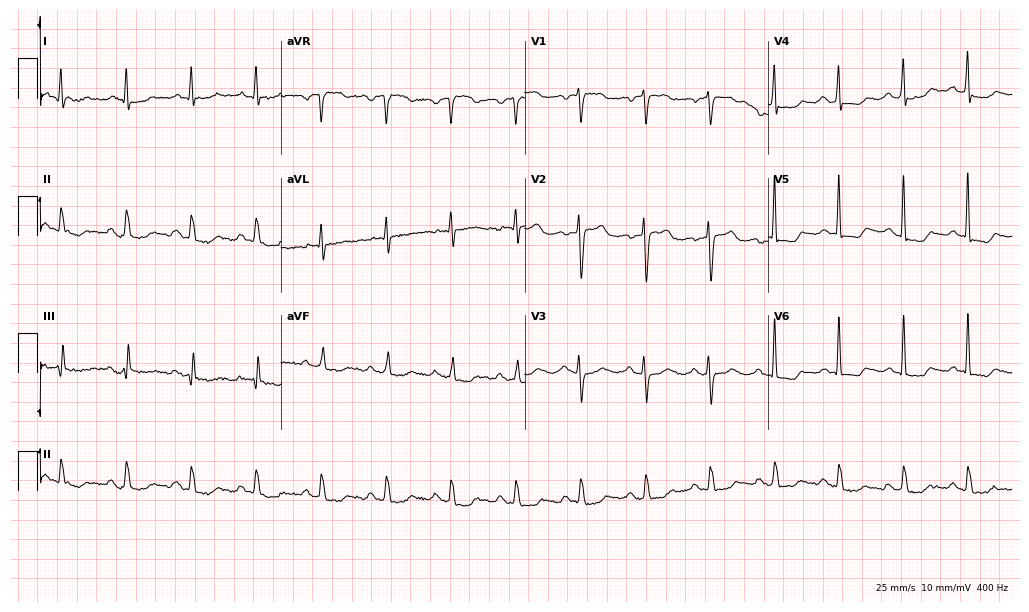
Standard 12-lead ECG recorded from a woman, 74 years old (9.9-second recording at 400 Hz). None of these six findings is recorded: first-degree AV block, right bundle branch block (RBBB), left bundle branch block (LBBB), sinus bradycardia, atrial fibrillation (AF), sinus tachycardia.